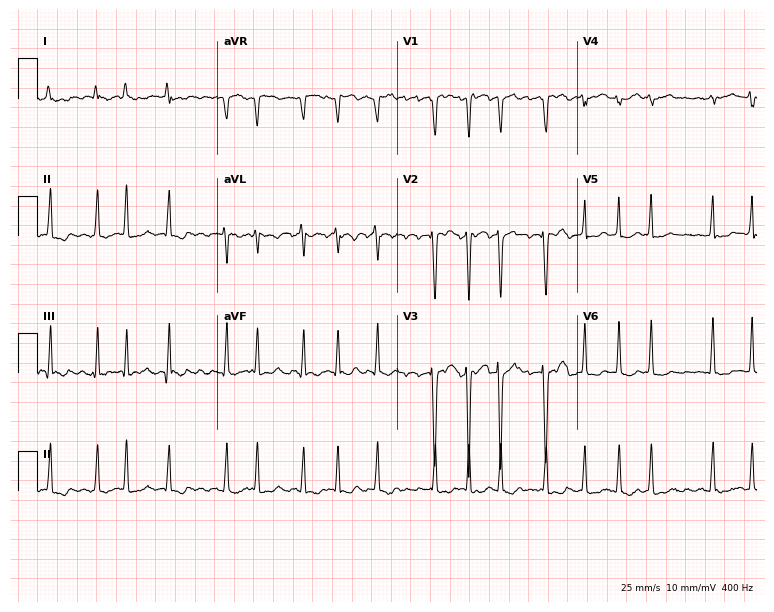
12-lead ECG from a woman, 49 years old (7.3-second recording at 400 Hz). Shows atrial fibrillation.